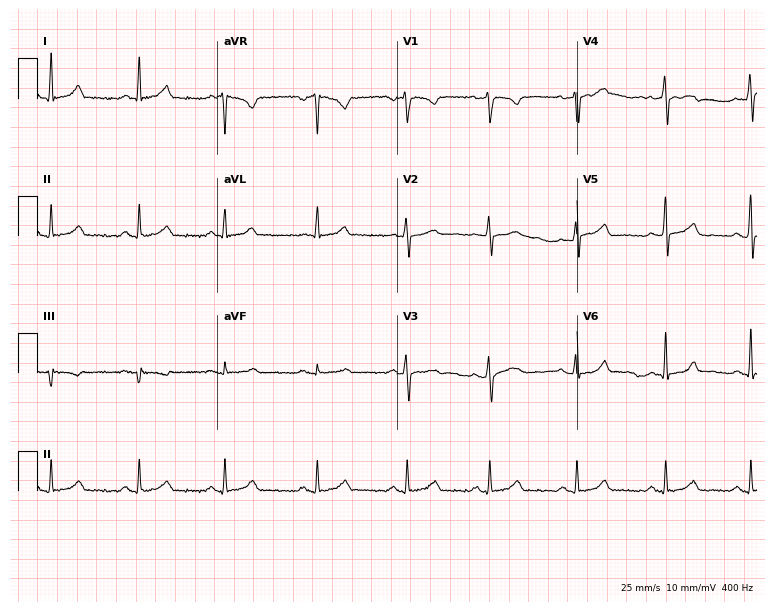
12-lead ECG from a woman, 44 years old. Recorded interpretation: within normal limits.